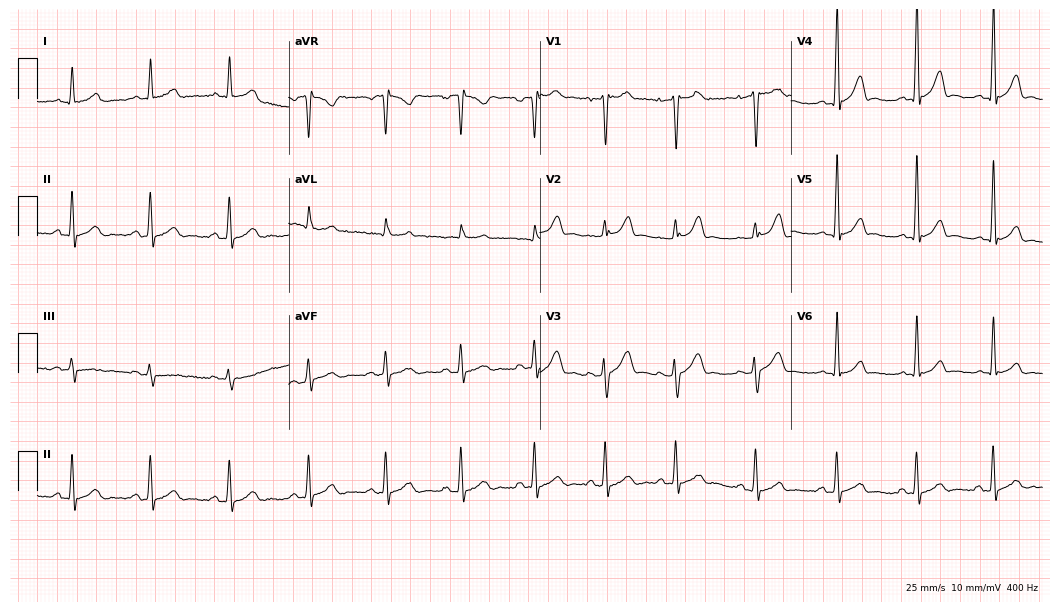
ECG — a man, 20 years old. Labelled as a normal ECG.